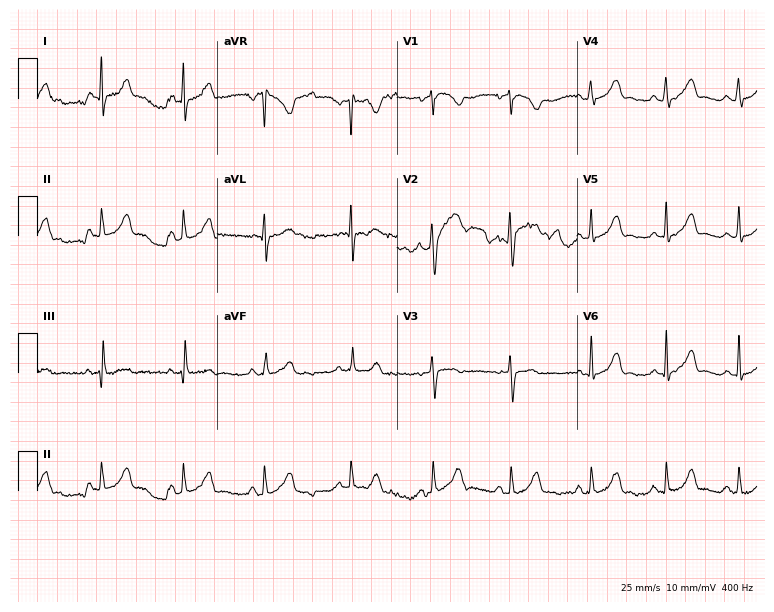
12-lead ECG from a female, 21 years old. Labelled as a normal ECG.